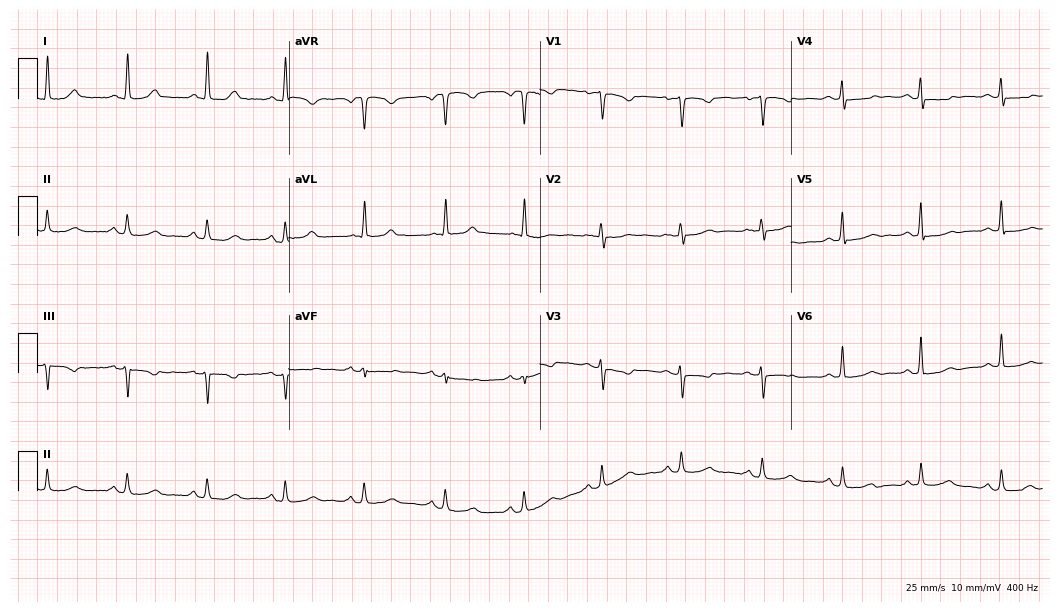
12-lead ECG (10.2-second recording at 400 Hz) from a female patient, 67 years old. Screened for six findings — first-degree AV block, right bundle branch block, left bundle branch block, sinus bradycardia, atrial fibrillation, sinus tachycardia — none is recorded.